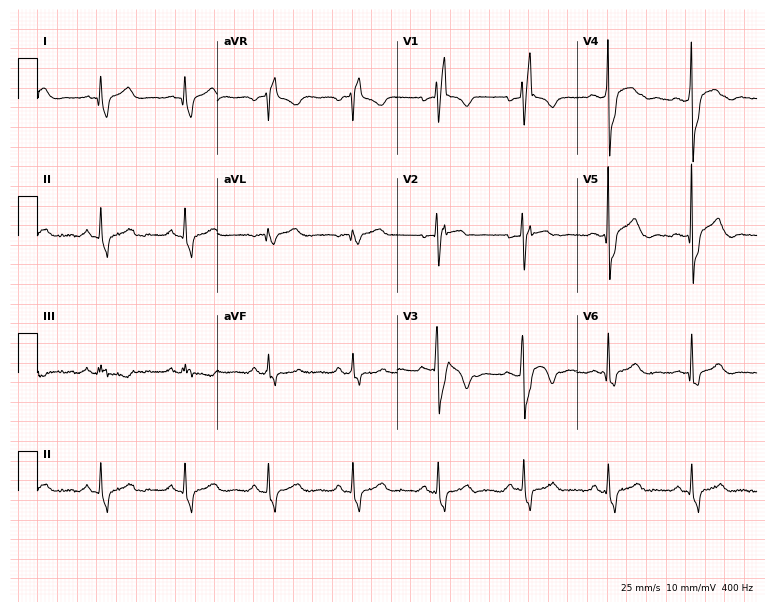
ECG — a 49-year-old male. Findings include right bundle branch block.